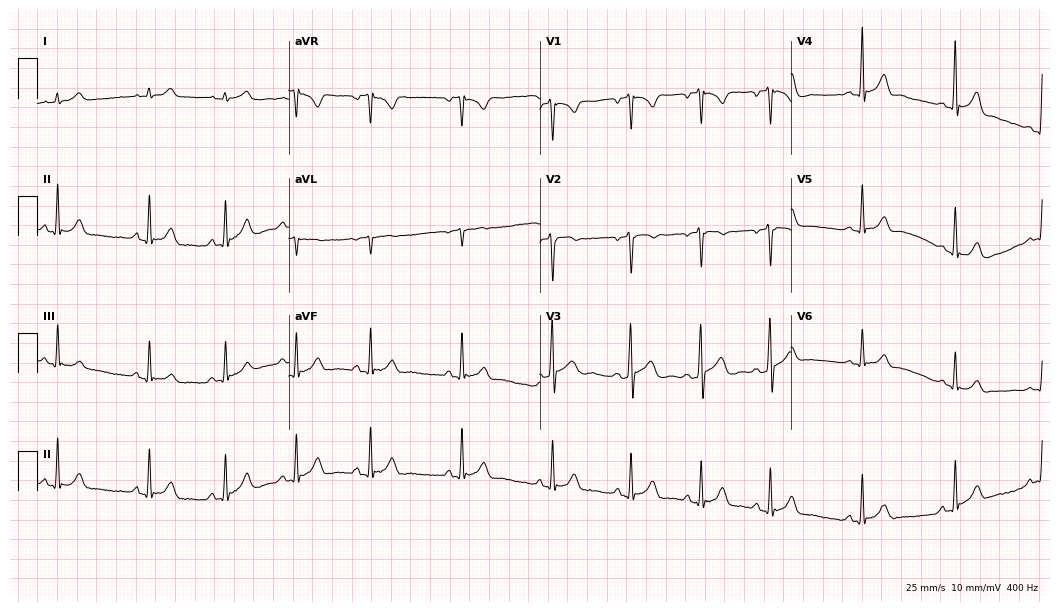
Electrocardiogram, a male, 21 years old. Overall reading on record: normal ECG.